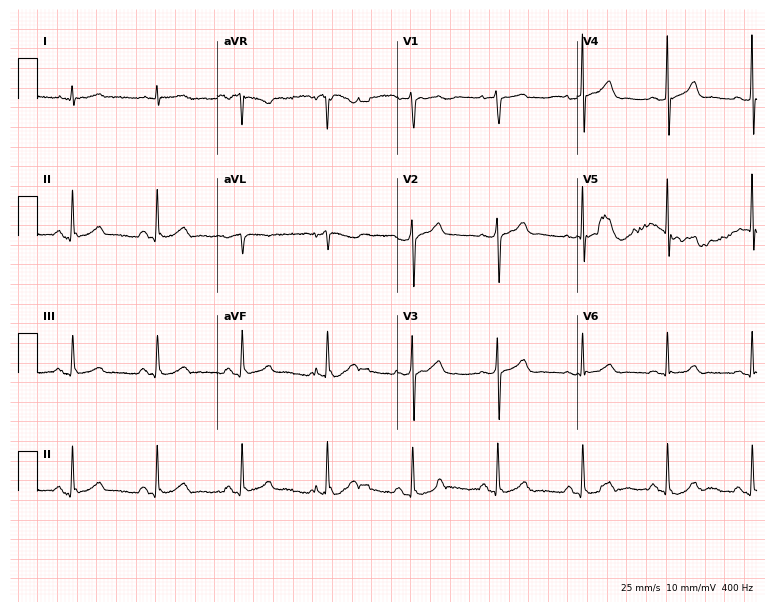
12-lead ECG from a 68-year-old male (7.3-second recording at 400 Hz). No first-degree AV block, right bundle branch block, left bundle branch block, sinus bradycardia, atrial fibrillation or sinus tachycardia recorded for this tracing. Other findings, if any, are not listed.